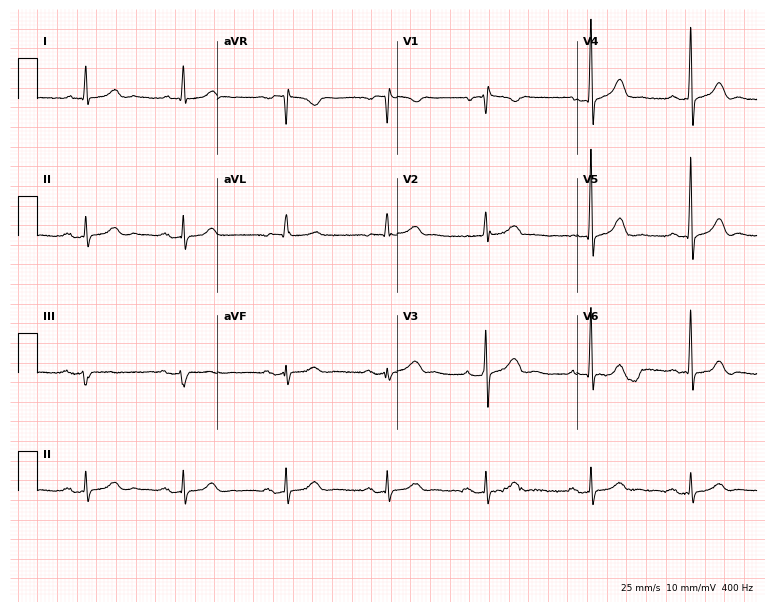
ECG (7.3-second recording at 400 Hz) — a female patient, 72 years old. Screened for six findings — first-degree AV block, right bundle branch block (RBBB), left bundle branch block (LBBB), sinus bradycardia, atrial fibrillation (AF), sinus tachycardia — none is recorded.